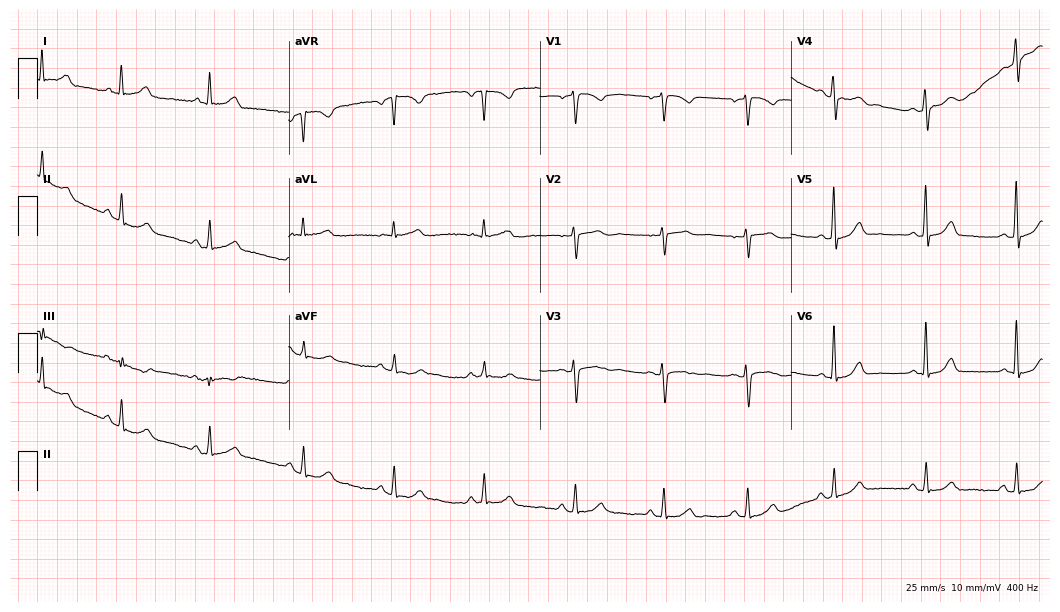
12-lead ECG from a 51-year-old woman. Screened for six findings — first-degree AV block, right bundle branch block, left bundle branch block, sinus bradycardia, atrial fibrillation, sinus tachycardia — none is recorded. Findings outside these six are not listed.